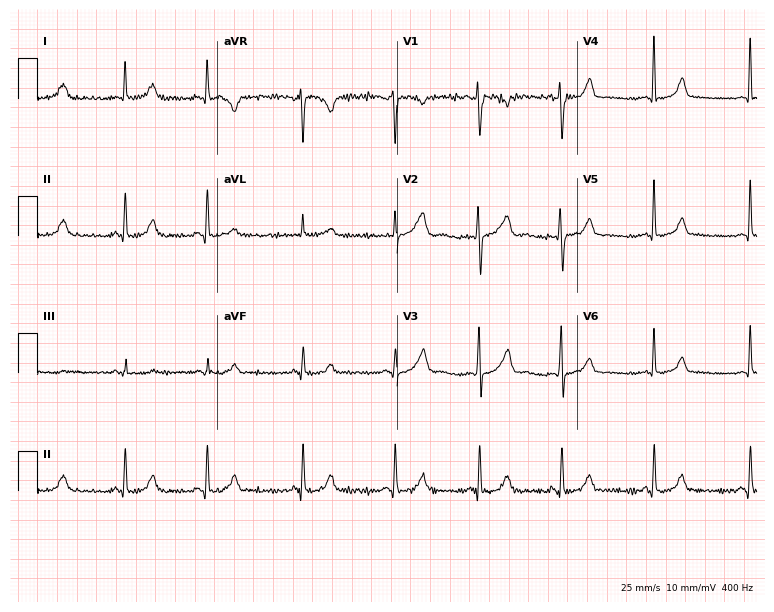
Standard 12-lead ECG recorded from a 32-year-old female (7.3-second recording at 400 Hz). None of these six findings is recorded: first-degree AV block, right bundle branch block, left bundle branch block, sinus bradycardia, atrial fibrillation, sinus tachycardia.